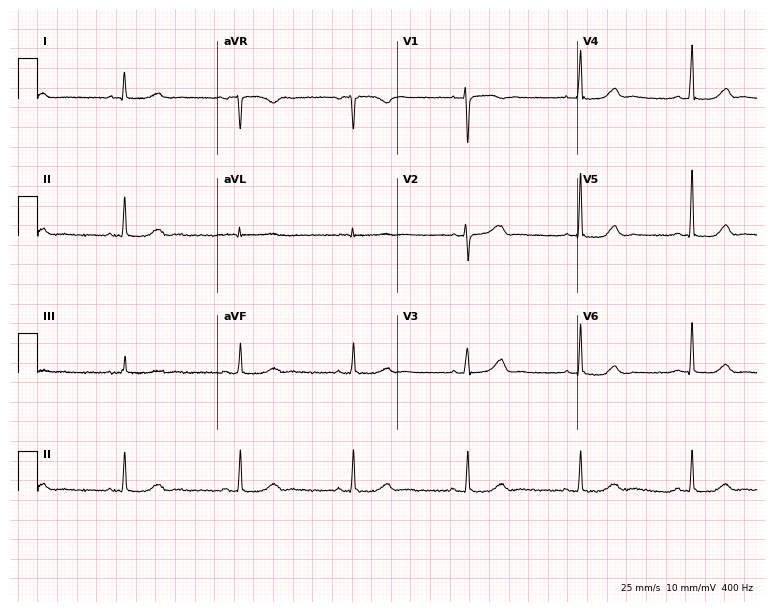
Electrocardiogram, a 58-year-old female patient. Overall reading on record: normal ECG.